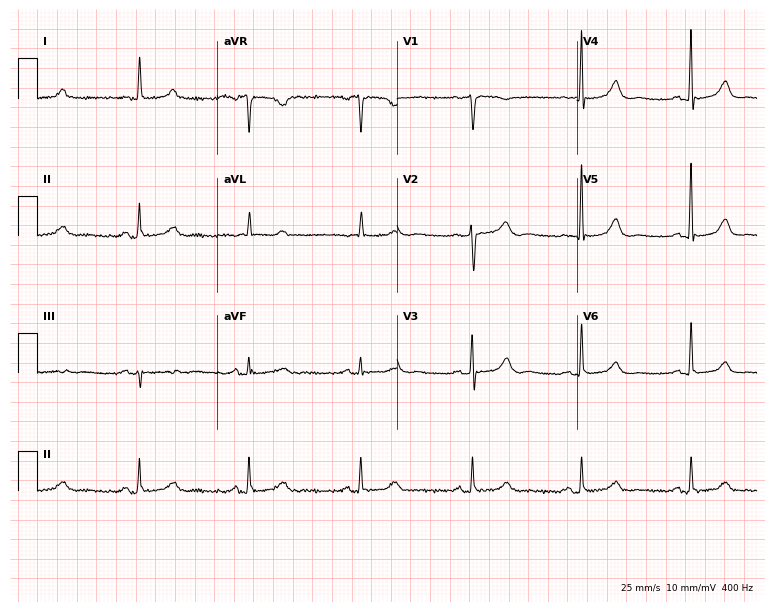
ECG — a female patient, 82 years old. Screened for six findings — first-degree AV block, right bundle branch block (RBBB), left bundle branch block (LBBB), sinus bradycardia, atrial fibrillation (AF), sinus tachycardia — none is recorded.